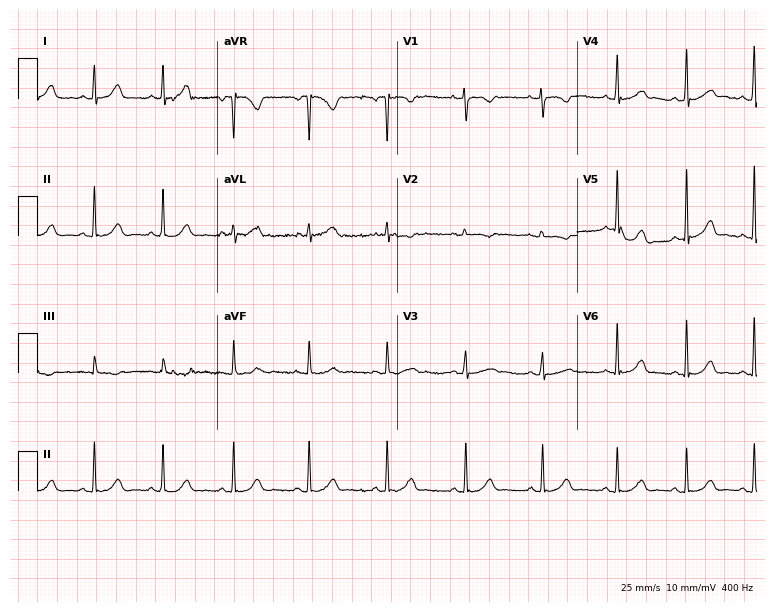
Electrocardiogram, a woman, 27 years old. Overall reading on record: normal ECG.